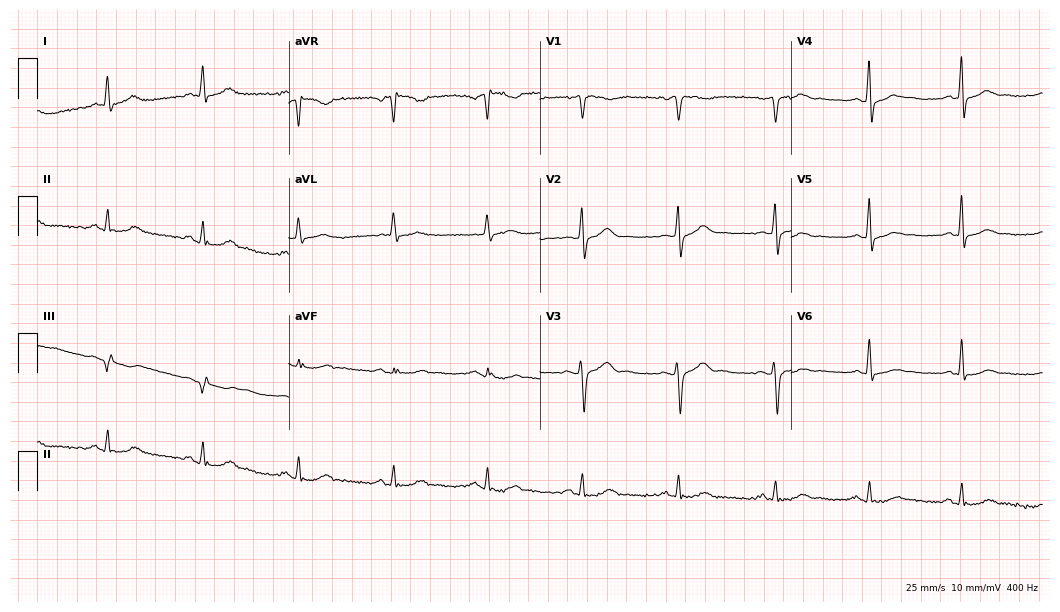
ECG (10.2-second recording at 400 Hz) — a man, 52 years old. Screened for six findings — first-degree AV block, right bundle branch block, left bundle branch block, sinus bradycardia, atrial fibrillation, sinus tachycardia — none is recorded. Only these six findings were labelled.